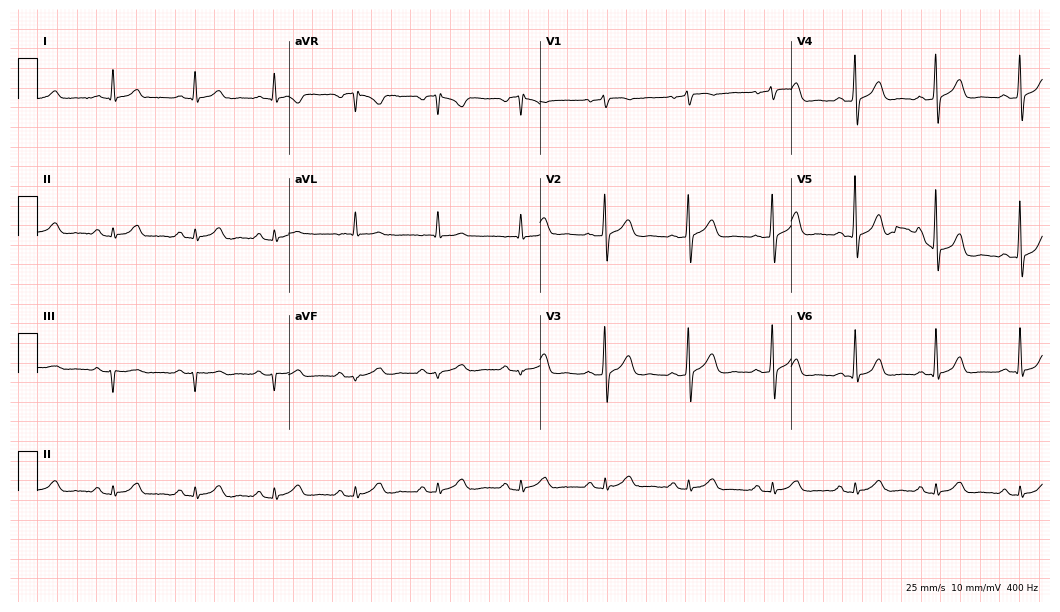
ECG — a 79-year-old male. Labelled as a normal ECG.